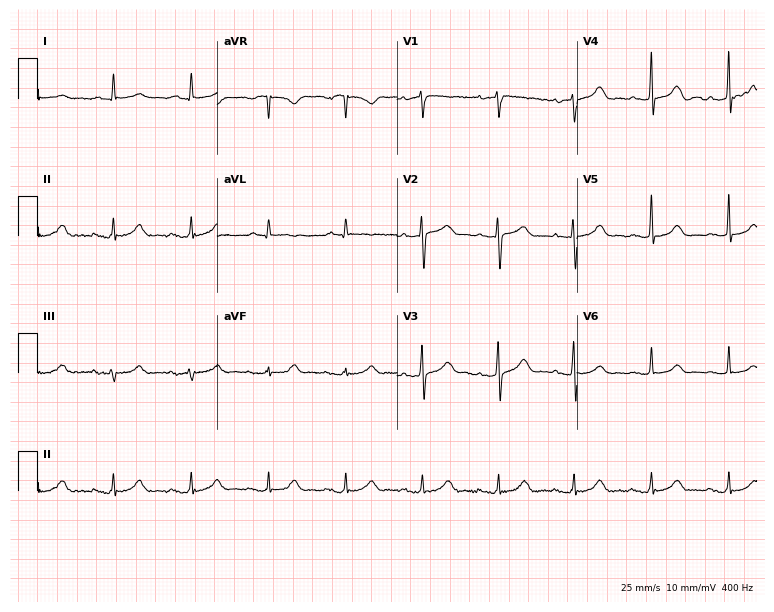
Standard 12-lead ECG recorded from a 77-year-old man. Read as a normal ECG.